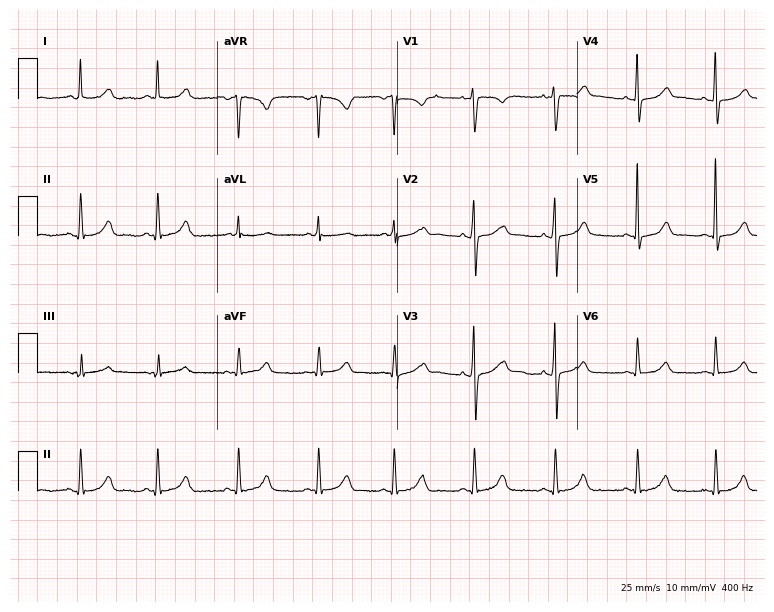
Standard 12-lead ECG recorded from a 55-year-old woman. Read as a normal ECG.